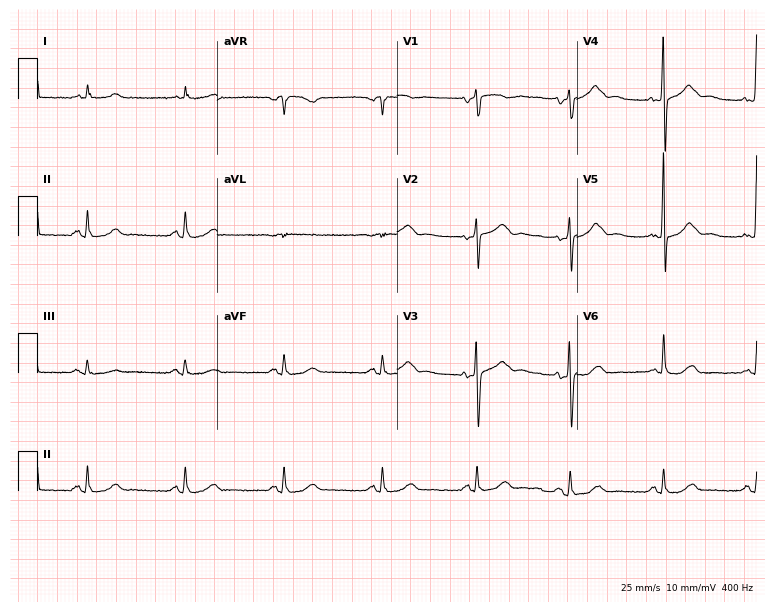
Resting 12-lead electrocardiogram (7.3-second recording at 400 Hz). Patient: a man, 70 years old. Read as a normal ECG.